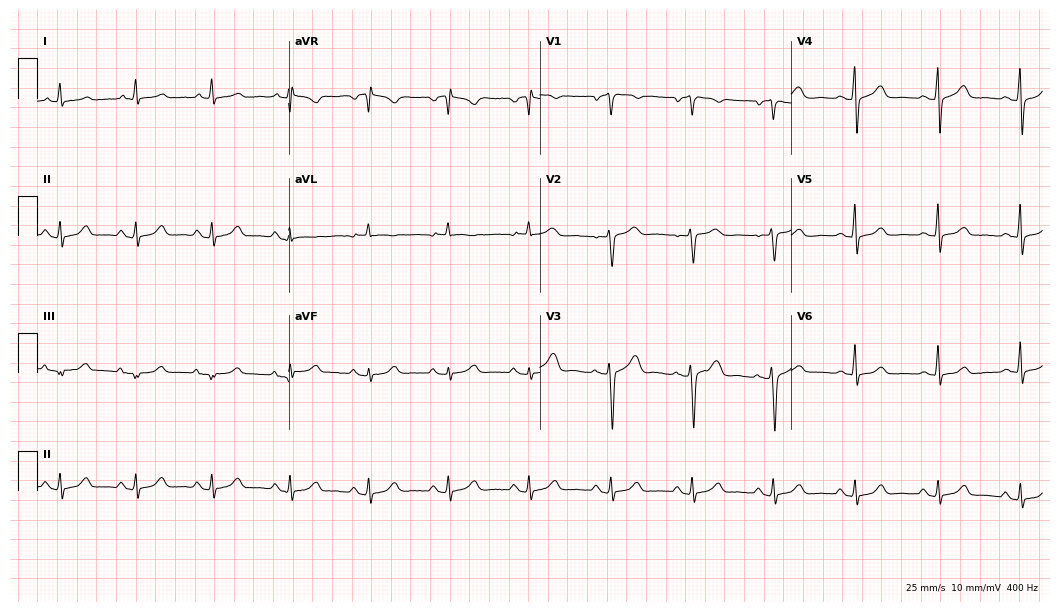
Standard 12-lead ECG recorded from a female patient, 53 years old. Read as a normal ECG.